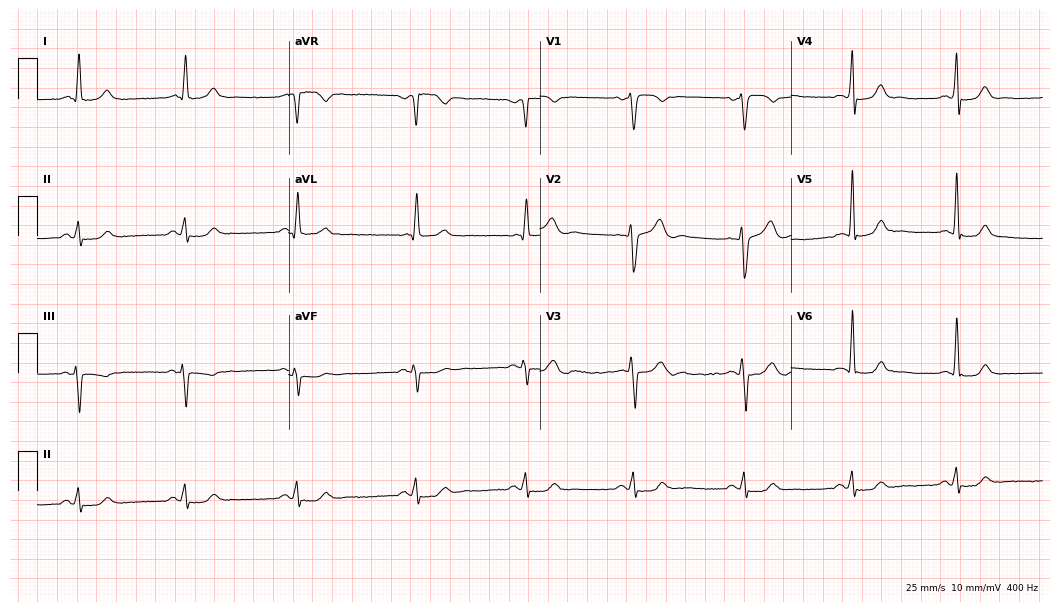
Resting 12-lead electrocardiogram. Patient: a 42-year-old male. Read as a normal ECG.